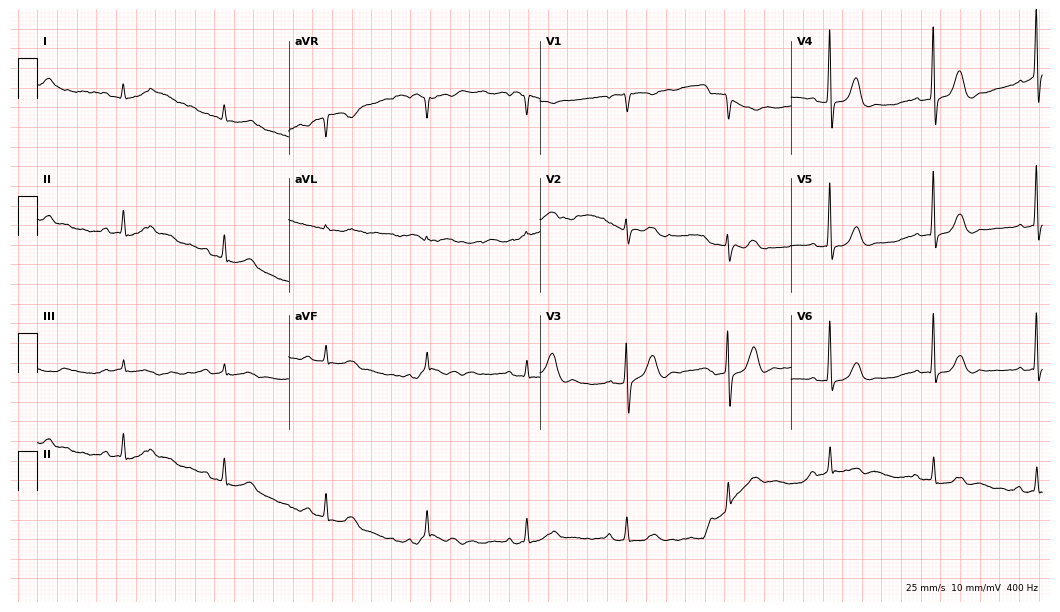
12-lead ECG (10.2-second recording at 400 Hz) from a male, 66 years old. Screened for six findings — first-degree AV block, right bundle branch block, left bundle branch block, sinus bradycardia, atrial fibrillation, sinus tachycardia — none is recorded.